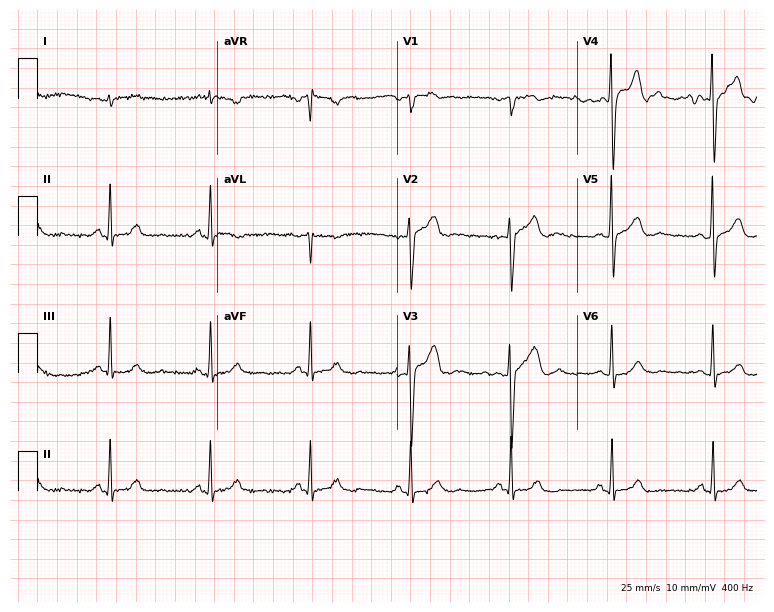
Resting 12-lead electrocardiogram. Patient: a man, 74 years old. None of these six findings is recorded: first-degree AV block, right bundle branch block (RBBB), left bundle branch block (LBBB), sinus bradycardia, atrial fibrillation (AF), sinus tachycardia. Only these six findings were labelled.